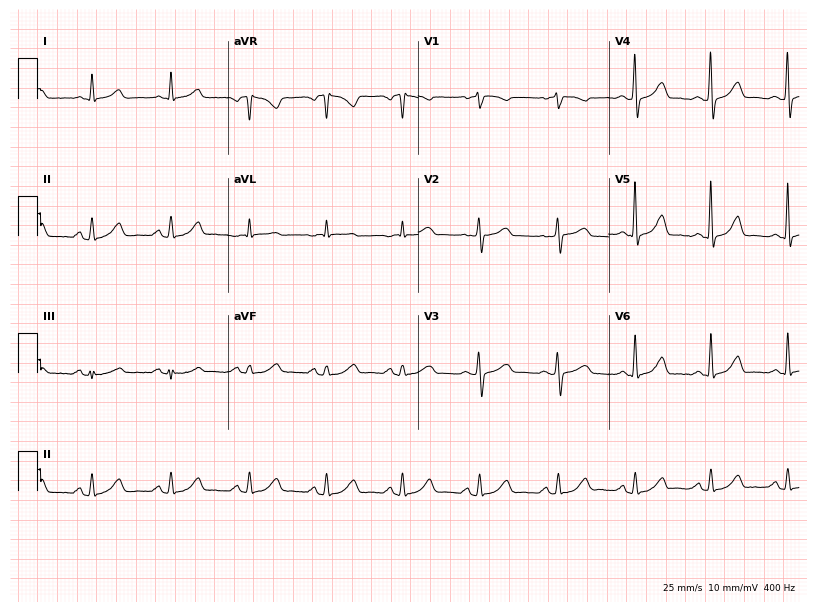
12-lead ECG (7.8-second recording at 400 Hz) from a 69-year-old woman. Labelled as a normal ECG.